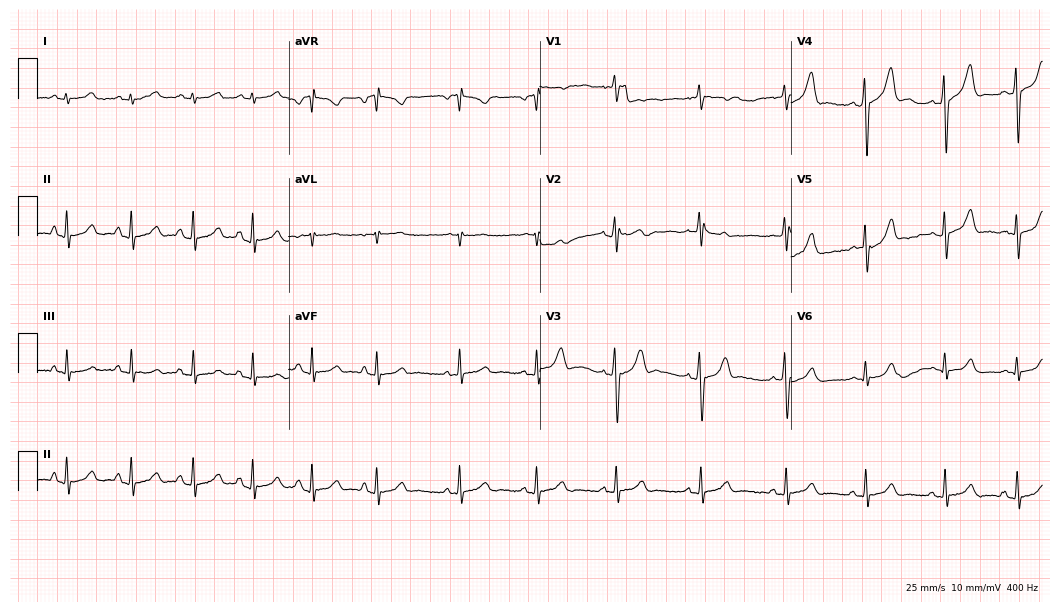
Standard 12-lead ECG recorded from a 40-year-old man (10.2-second recording at 400 Hz). Read as a normal ECG.